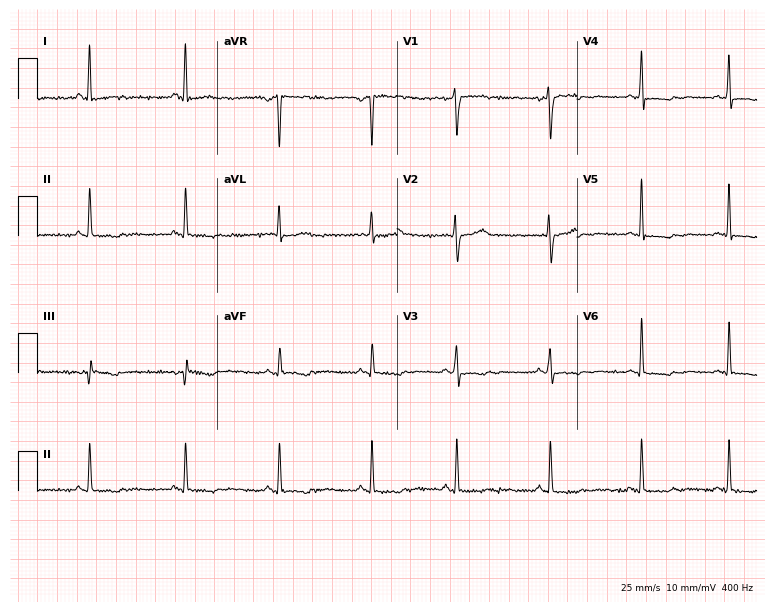
Standard 12-lead ECG recorded from a 44-year-old woman (7.3-second recording at 400 Hz). Read as a normal ECG.